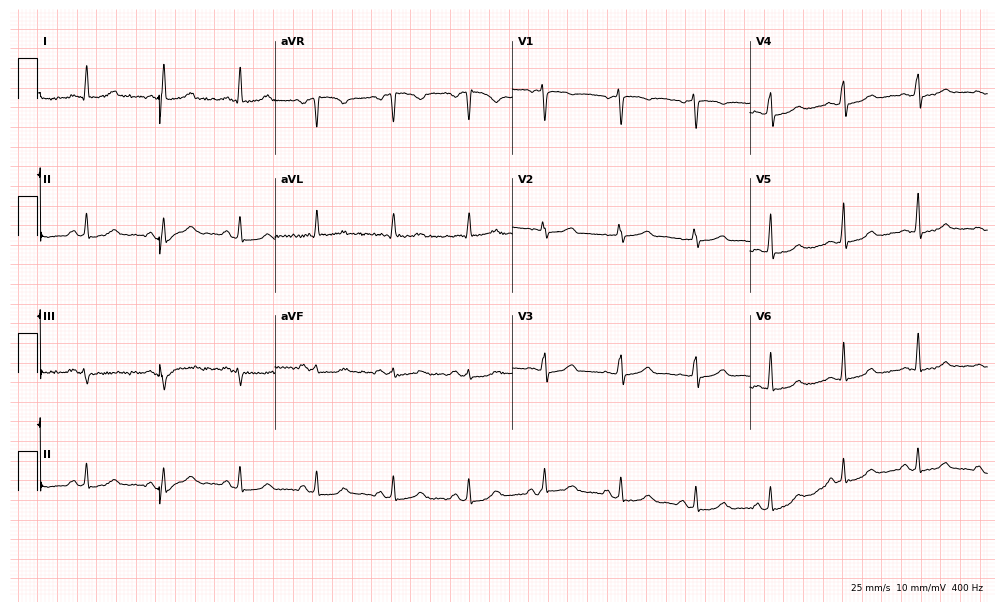
Resting 12-lead electrocardiogram. Patient: a 53-year-old female. Read as a normal ECG.